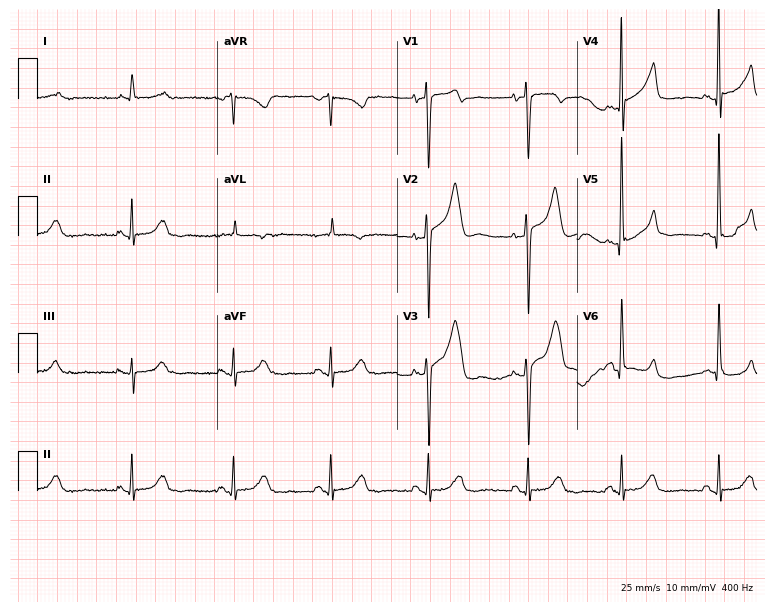
Standard 12-lead ECG recorded from a male, 70 years old (7.3-second recording at 400 Hz). None of these six findings is recorded: first-degree AV block, right bundle branch block (RBBB), left bundle branch block (LBBB), sinus bradycardia, atrial fibrillation (AF), sinus tachycardia.